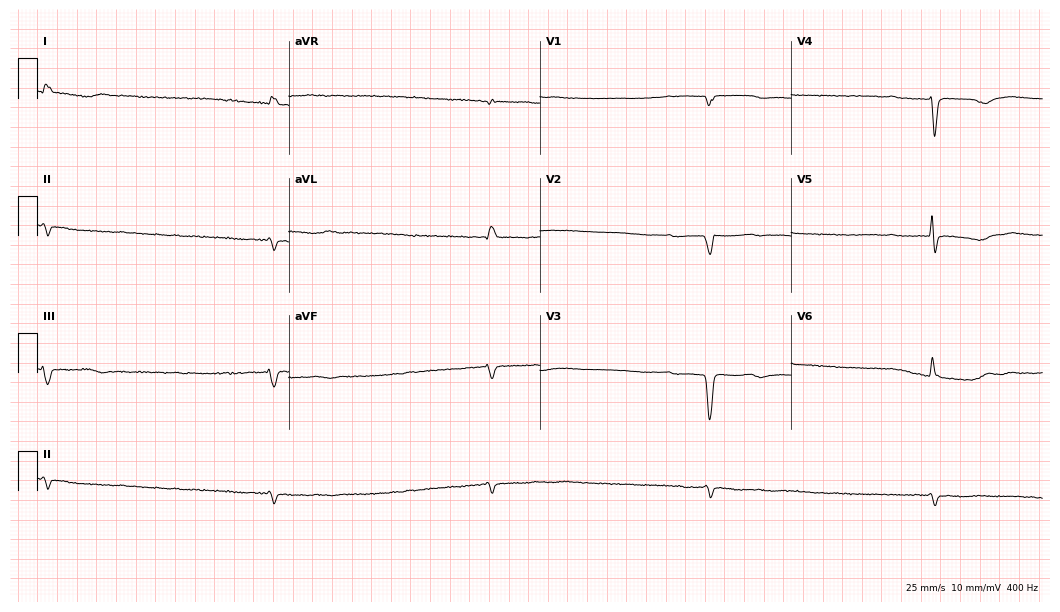
ECG (10.2-second recording at 400 Hz) — a man, 84 years old. Findings include first-degree AV block, sinus bradycardia (a sinus rate of 50 beats per minute or less).